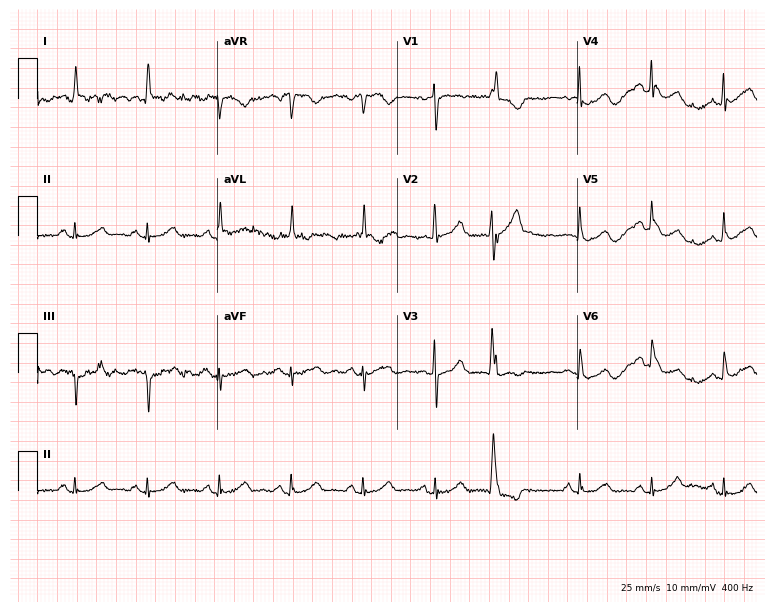
12-lead ECG from a female patient, 82 years old. No first-degree AV block, right bundle branch block, left bundle branch block, sinus bradycardia, atrial fibrillation or sinus tachycardia recorded for this tracing. Only these six findings were labelled.